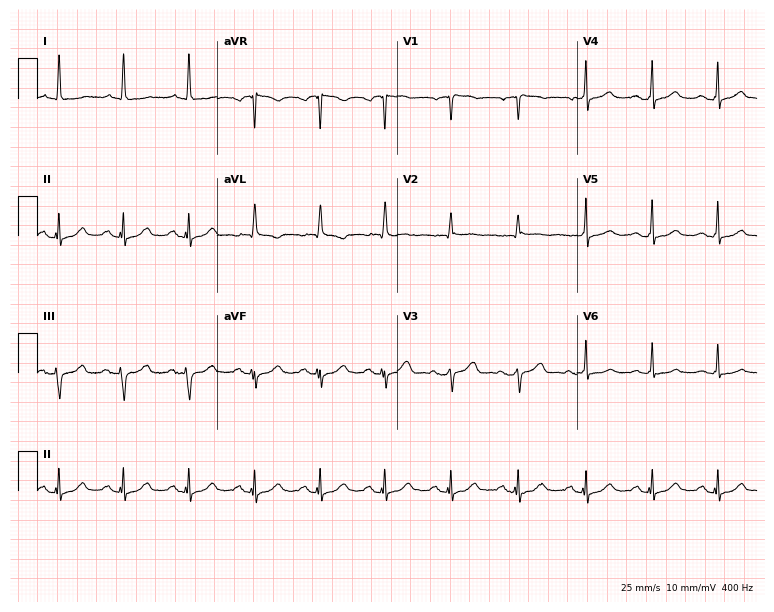
12-lead ECG (7.3-second recording at 400 Hz) from a 67-year-old female patient. Screened for six findings — first-degree AV block, right bundle branch block, left bundle branch block, sinus bradycardia, atrial fibrillation, sinus tachycardia — none is recorded. Only these six findings were labelled.